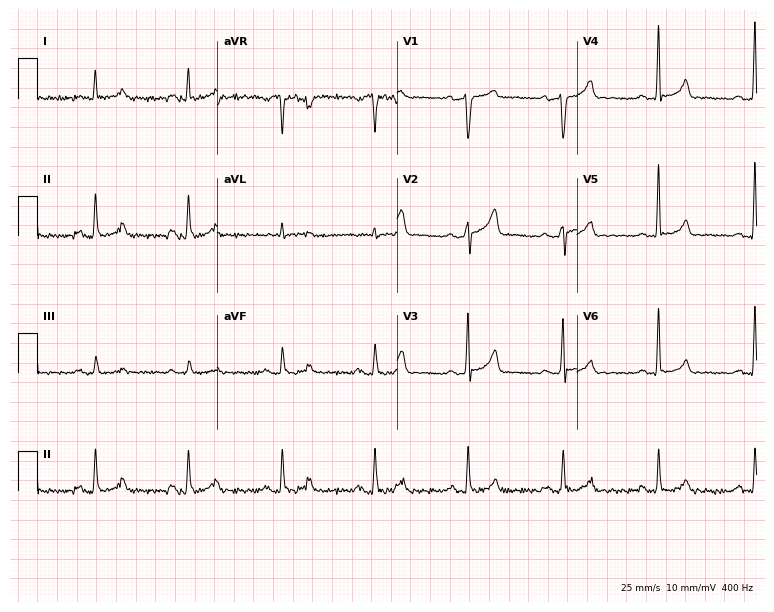
ECG (7.3-second recording at 400 Hz) — a 57-year-old male patient. Labelled as a normal ECG.